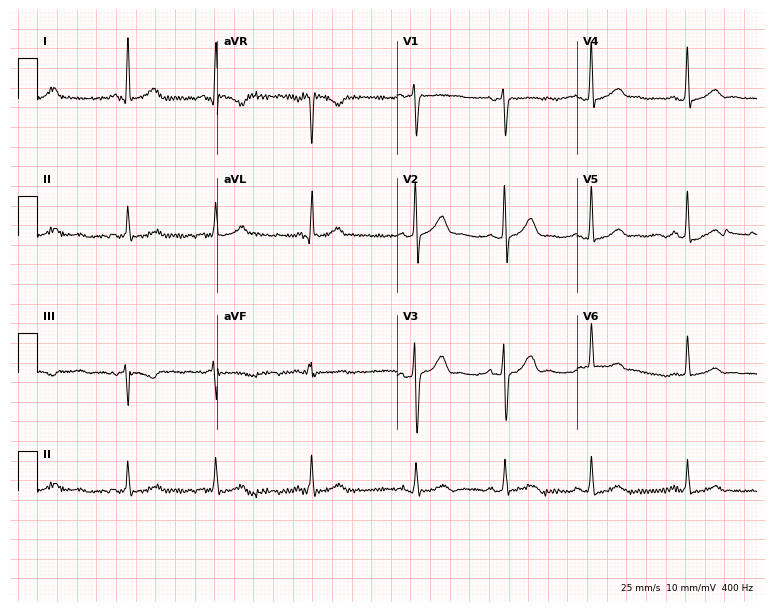
12-lead ECG (7.3-second recording at 400 Hz) from a man, 37 years old. Labelled as a normal ECG.